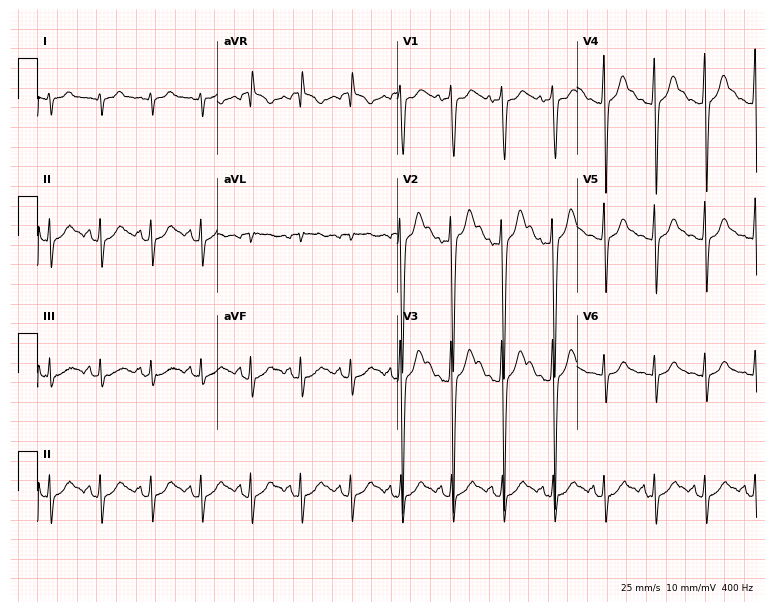
12-lead ECG from a man, 25 years old. No first-degree AV block, right bundle branch block, left bundle branch block, sinus bradycardia, atrial fibrillation or sinus tachycardia recorded for this tracing. Other findings, if any, are not listed.